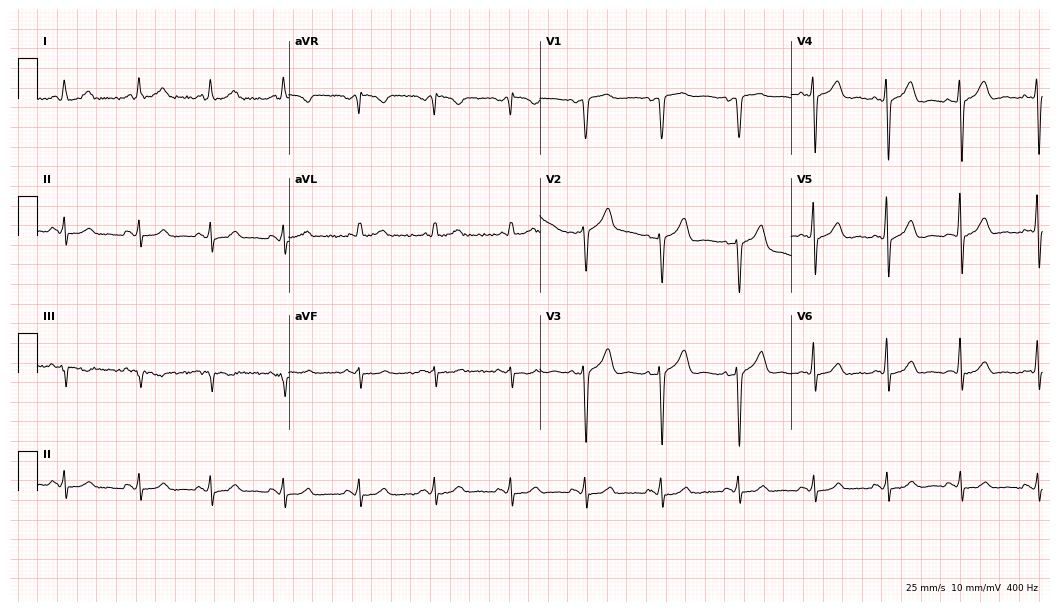
12-lead ECG from a female patient, 47 years old (10.2-second recording at 400 Hz). Recorded interpretation: within normal limits.